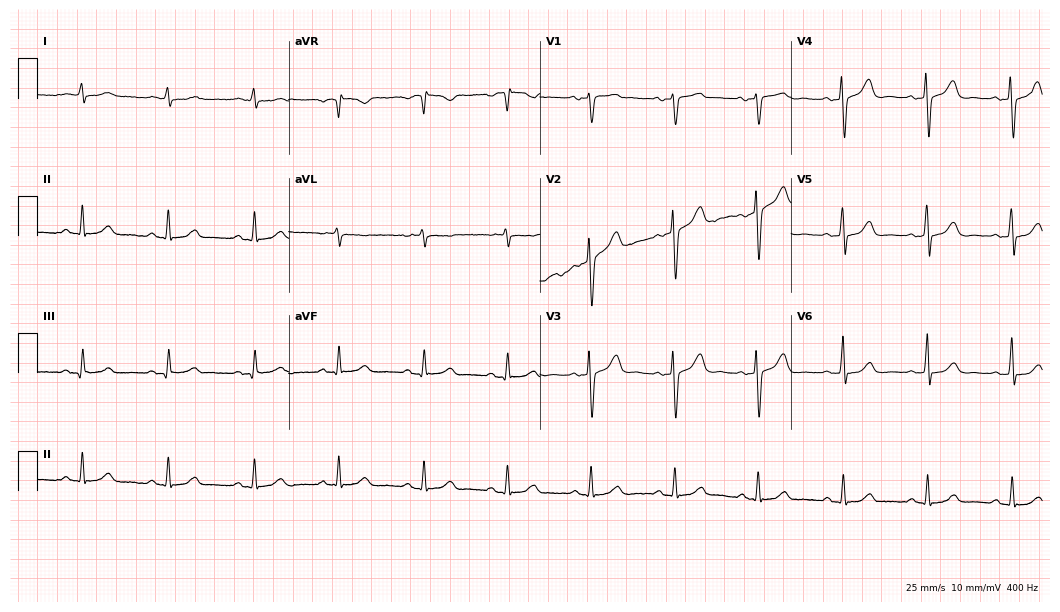
12-lead ECG from a 49-year-old man (10.2-second recording at 400 Hz). Recorded interpretation: within normal limits.